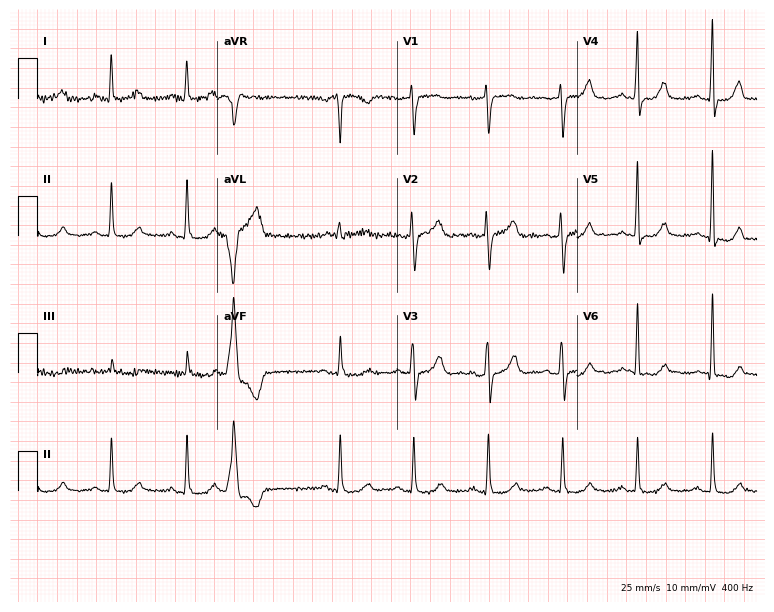
Electrocardiogram (7.3-second recording at 400 Hz), a female, 66 years old. Of the six screened findings (first-degree AV block, right bundle branch block (RBBB), left bundle branch block (LBBB), sinus bradycardia, atrial fibrillation (AF), sinus tachycardia), none is recorded. Only these six findings were labelled.